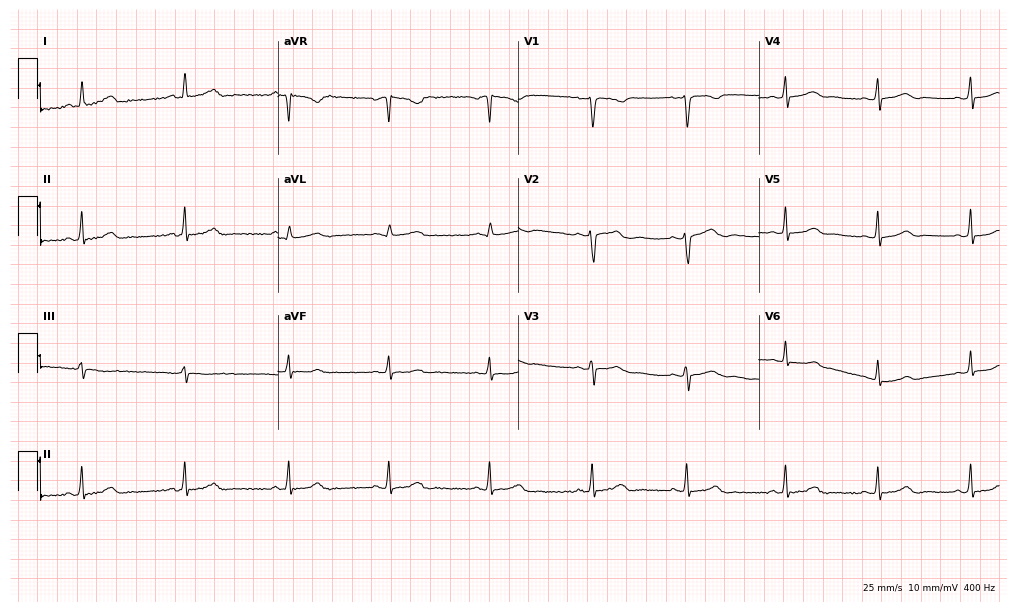
Resting 12-lead electrocardiogram (9.8-second recording at 400 Hz). Patient: a female, 36 years old. Read as a normal ECG.